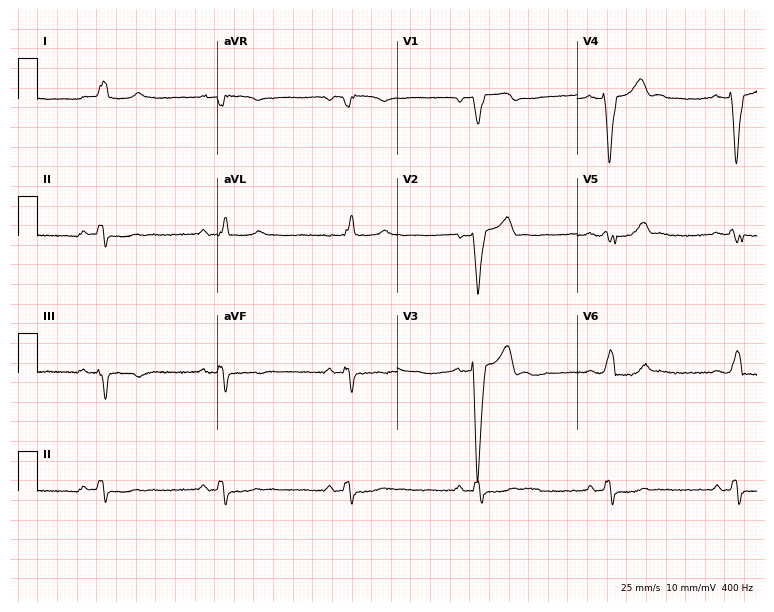
12-lead ECG from a 65-year-old male. Shows sinus bradycardia (a sinus rate of 50 beats per minute or less).